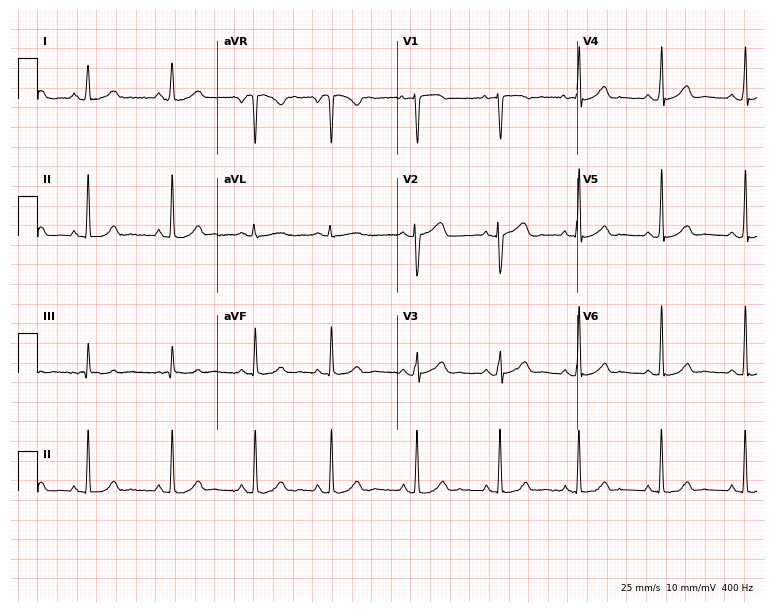
12-lead ECG (7.3-second recording at 400 Hz) from a 23-year-old woman. Labelled as a normal ECG.